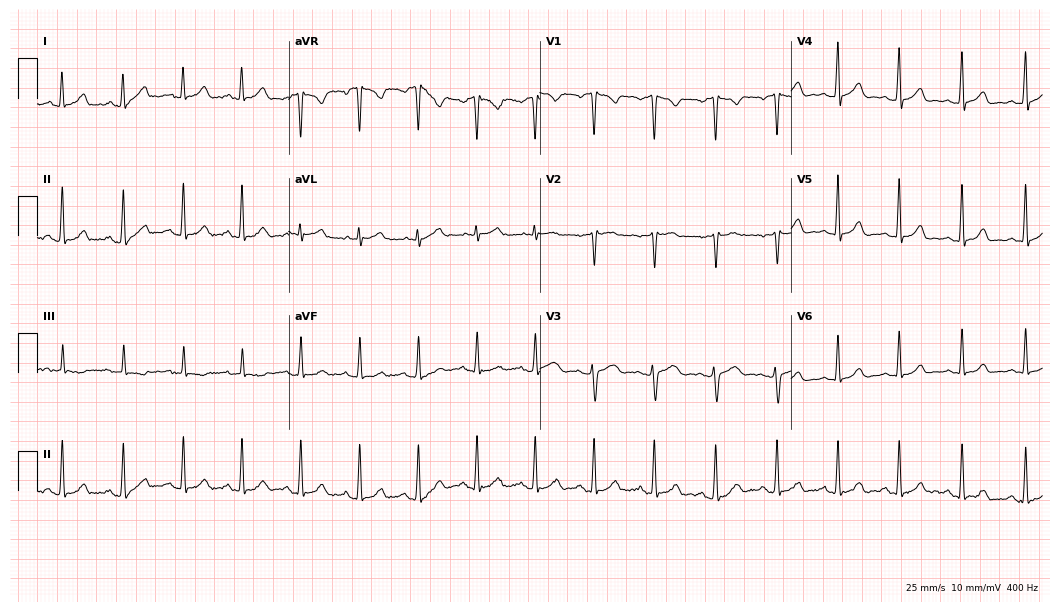
Standard 12-lead ECG recorded from a woman, 32 years old. None of these six findings is recorded: first-degree AV block, right bundle branch block (RBBB), left bundle branch block (LBBB), sinus bradycardia, atrial fibrillation (AF), sinus tachycardia. Only these six findings were labelled.